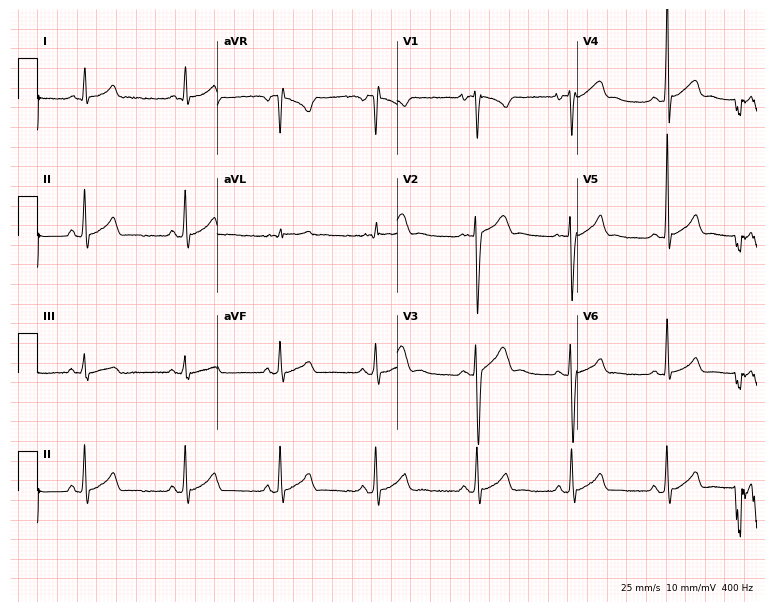
ECG — a man, 17 years old. Labelled as a normal ECG.